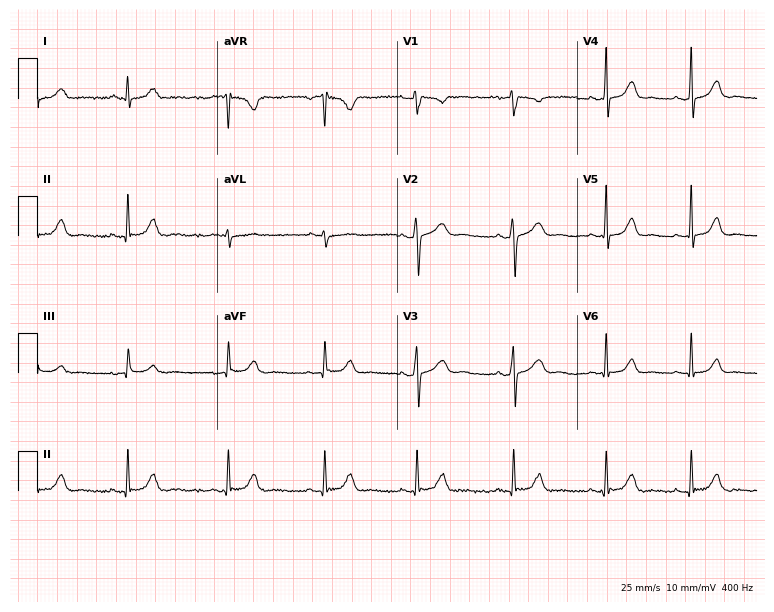
Standard 12-lead ECG recorded from a female, 19 years old (7.3-second recording at 400 Hz). None of these six findings is recorded: first-degree AV block, right bundle branch block (RBBB), left bundle branch block (LBBB), sinus bradycardia, atrial fibrillation (AF), sinus tachycardia. Findings outside these six are not listed.